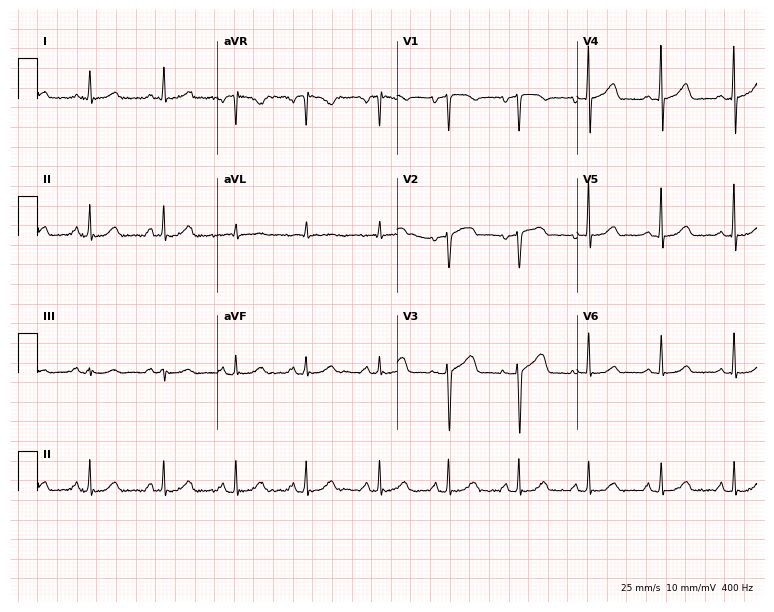
Standard 12-lead ECG recorded from a 50-year-old female patient (7.3-second recording at 400 Hz). None of these six findings is recorded: first-degree AV block, right bundle branch block, left bundle branch block, sinus bradycardia, atrial fibrillation, sinus tachycardia.